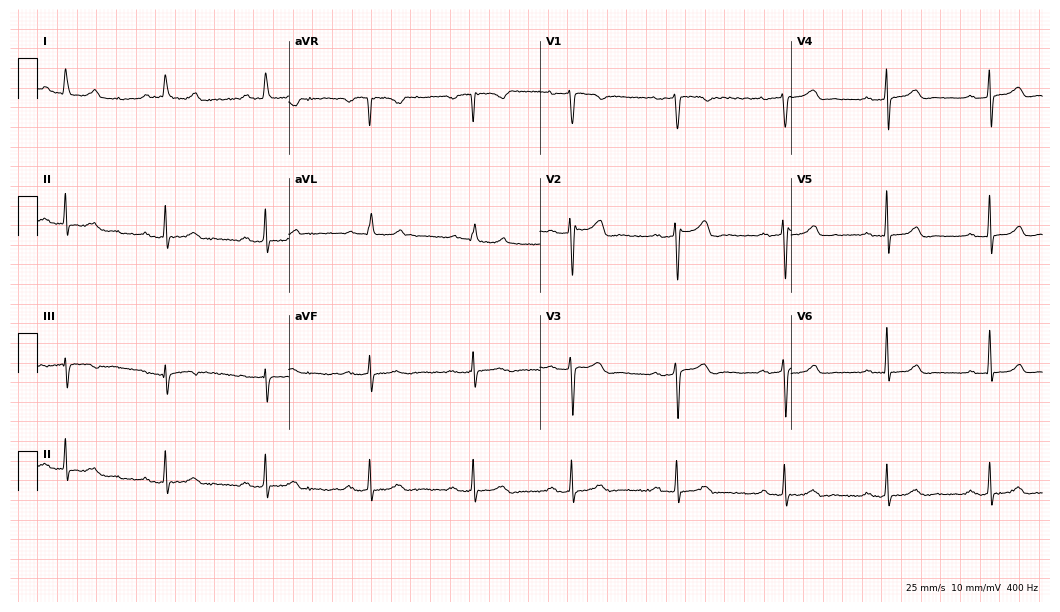
Electrocardiogram, a female patient, 25 years old. Overall reading on record: normal ECG.